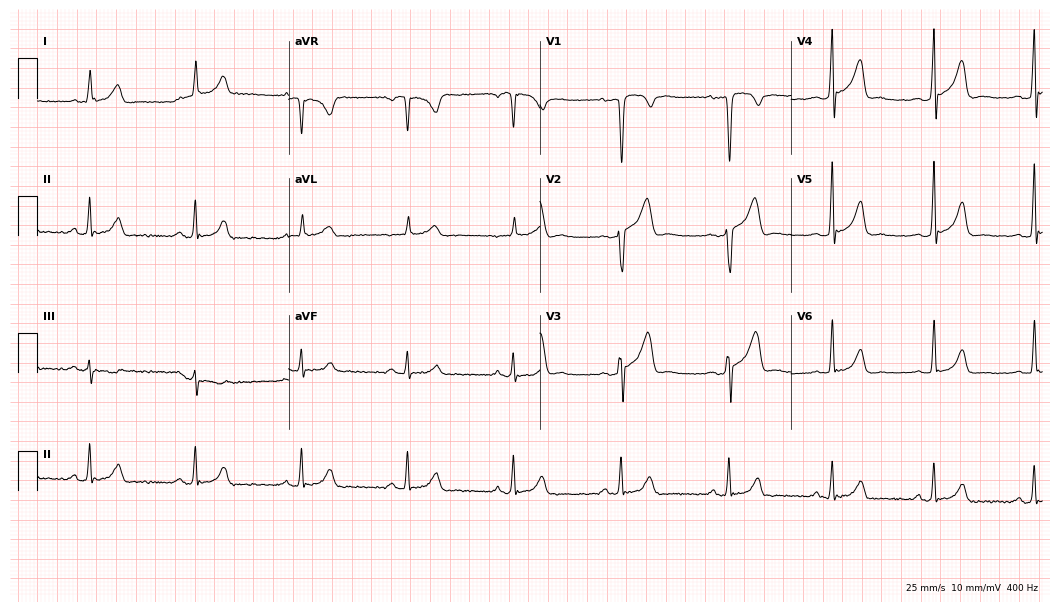
Electrocardiogram (10.2-second recording at 400 Hz), a man, 31 years old. Of the six screened findings (first-degree AV block, right bundle branch block, left bundle branch block, sinus bradycardia, atrial fibrillation, sinus tachycardia), none is recorded. Only these six findings were labelled.